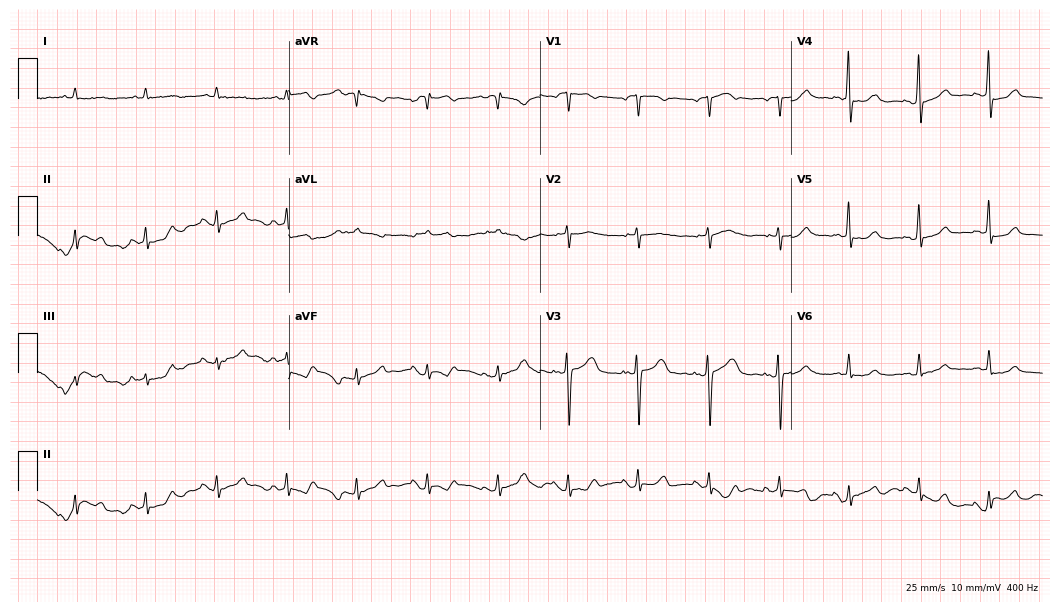
12-lead ECG from an 82-year-old woman (10.2-second recording at 400 Hz). Recorded interpretation: within normal limits.